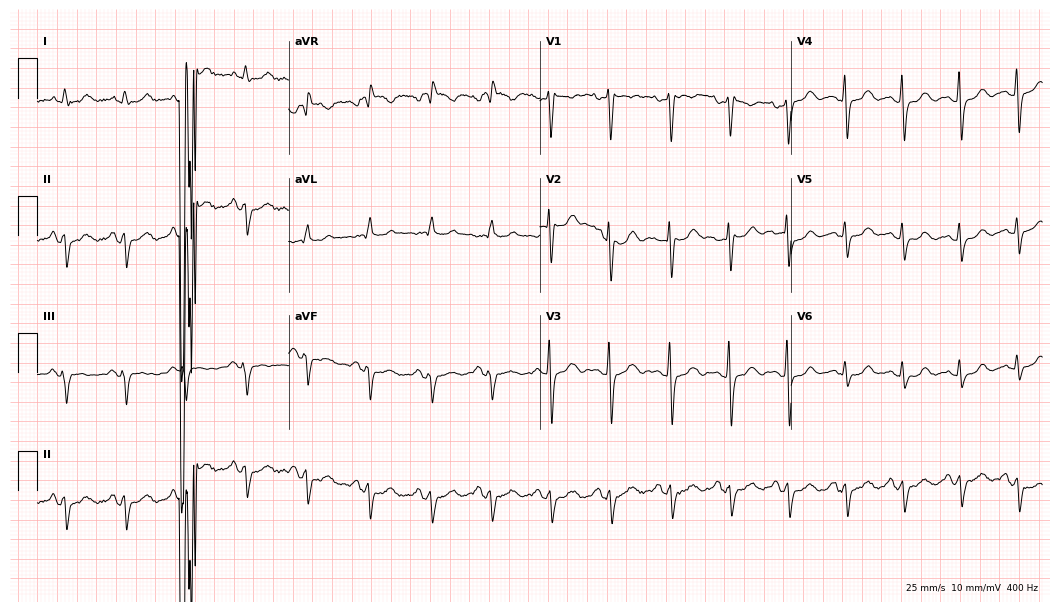
12-lead ECG from a 41-year-old female patient (10.2-second recording at 400 Hz). No first-degree AV block, right bundle branch block (RBBB), left bundle branch block (LBBB), sinus bradycardia, atrial fibrillation (AF) or sinus tachycardia recorded for this tracing. Findings outside these six are not listed.